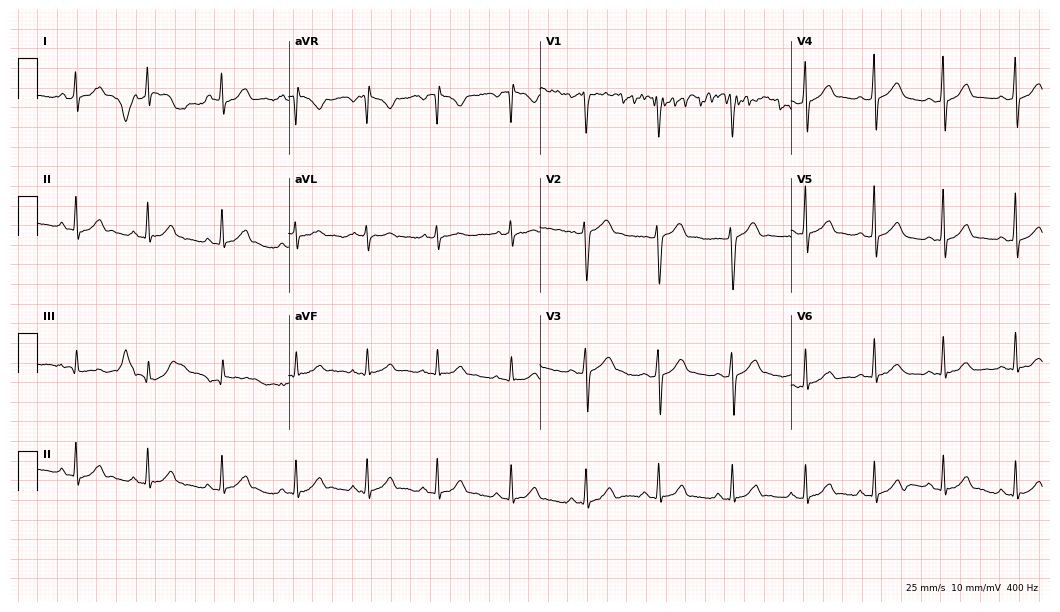
12-lead ECG (10.2-second recording at 400 Hz) from a 34-year-old male patient. Labelled as a normal ECG.